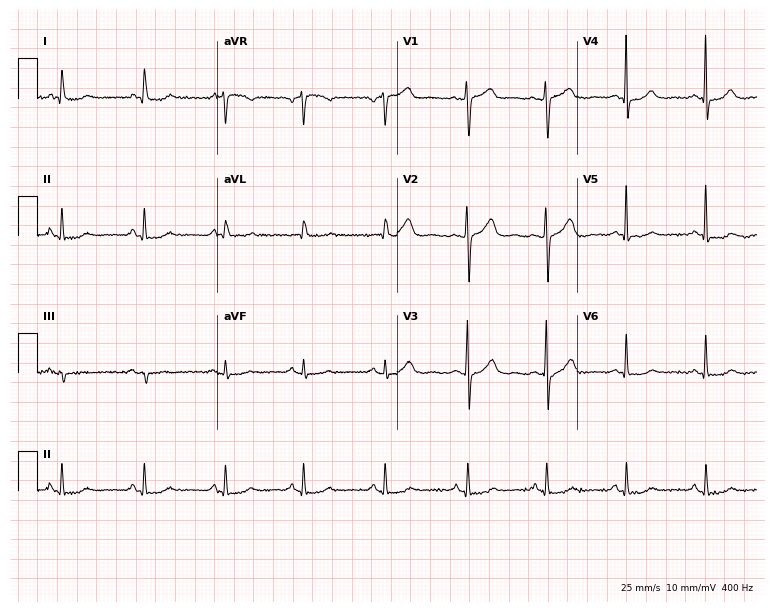
Standard 12-lead ECG recorded from a 39-year-old female. None of these six findings is recorded: first-degree AV block, right bundle branch block (RBBB), left bundle branch block (LBBB), sinus bradycardia, atrial fibrillation (AF), sinus tachycardia. Other findings, if any, are not listed.